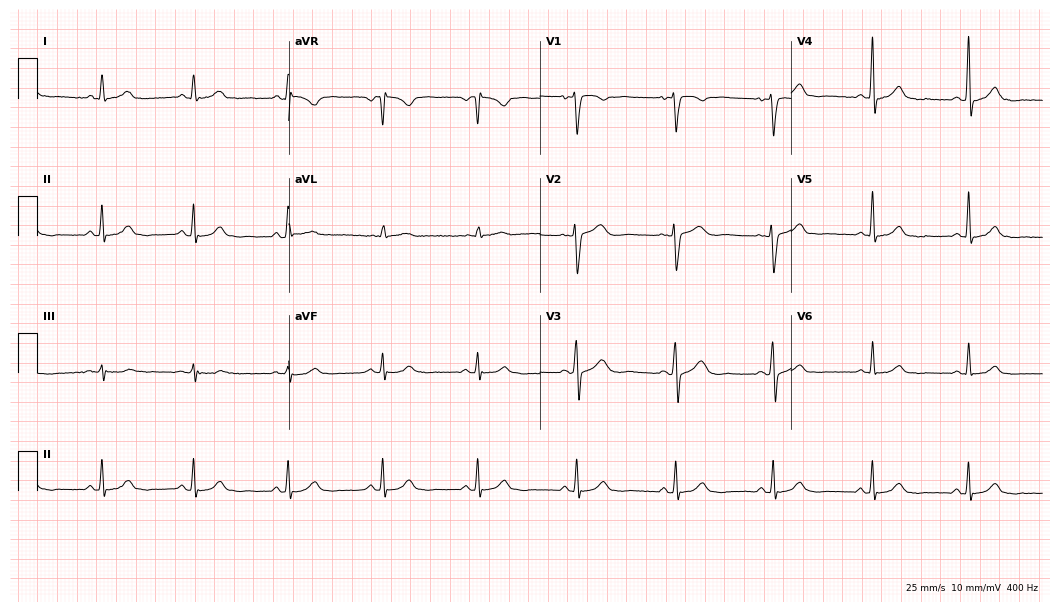
Electrocardiogram, a female patient, 48 years old. Of the six screened findings (first-degree AV block, right bundle branch block, left bundle branch block, sinus bradycardia, atrial fibrillation, sinus tachycardia), none is recorded. Findings outside these six are not listed.